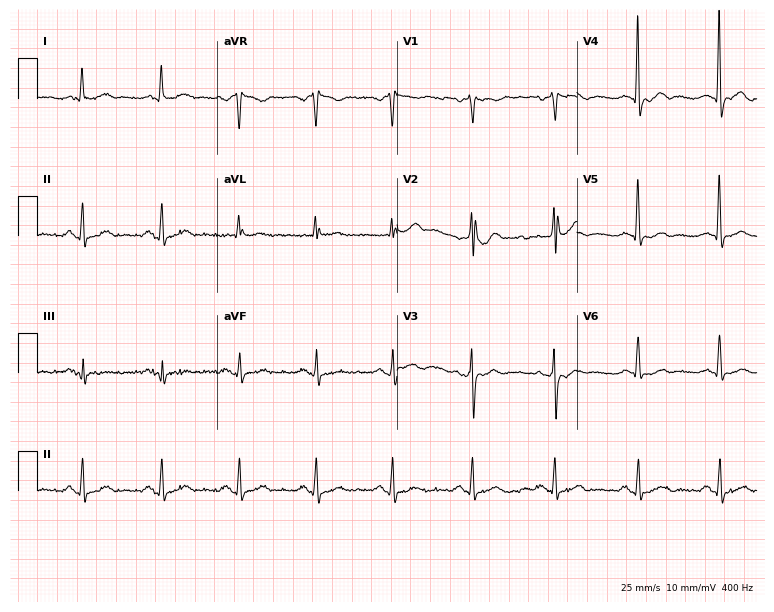
Electrocardiogram (7.3-second recording at 400 Hz), a male patient, 68 years old. Overall reading on record: normal ECG.